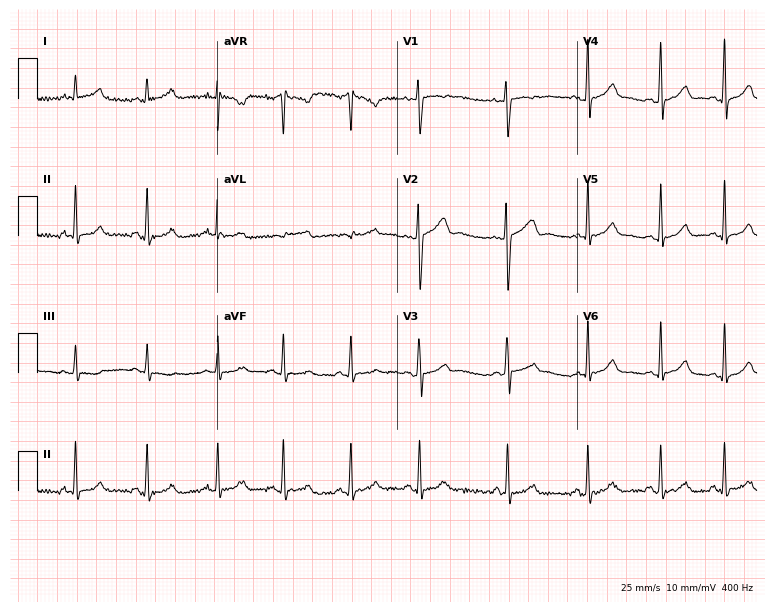
Electrocardiogram, a woman, 28 years old. Overall reading on record: normal ECG.